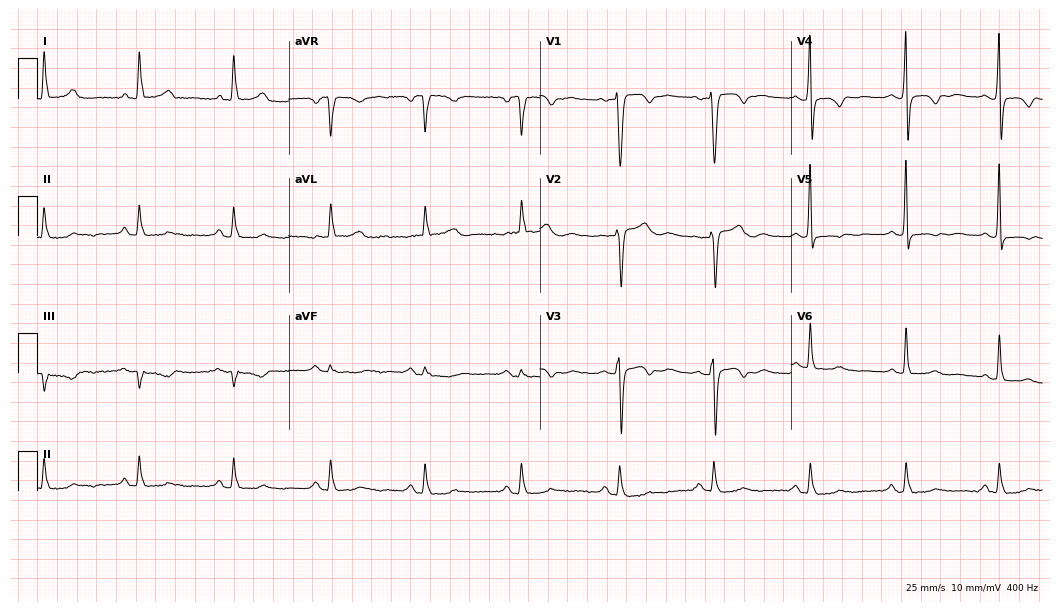
ECG — a 71-year-old woman. Screened for six findings — first-degree AV block, right bundle branch block, left bundle branch block, sinus bradycardia, atrial fibrillation, sinus tachycardia — none is recorded.